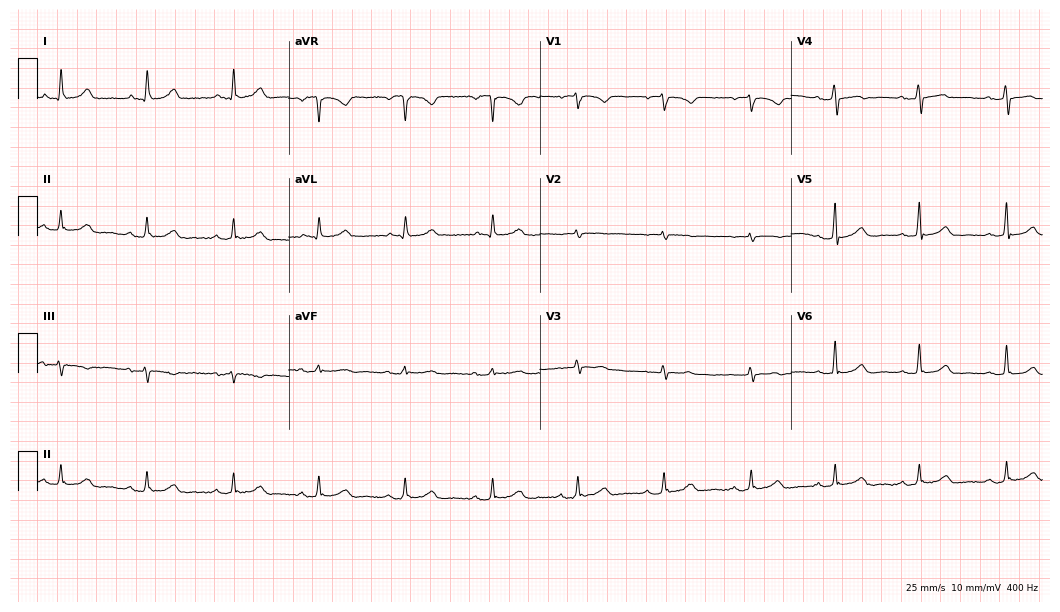
12-lead ECG from a woman, 55 years old. Labelled as a normal ECG.